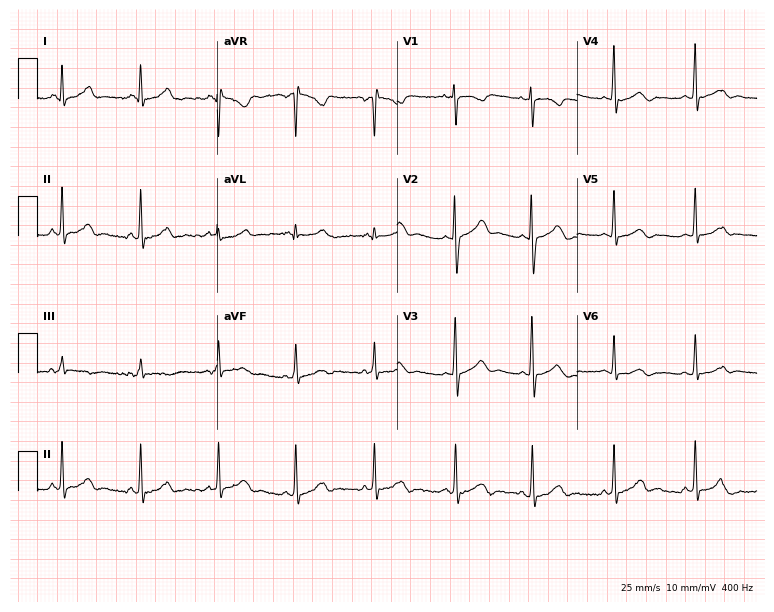
Resting 12-lead electrocardiogram (7.3-second recording at 400 Hz). Patient: a woman, 20 years old. None of these six findings is recorded: first-degree AV block, right bundle branch block, left bundle branch block, sinus bradycardia, atrial fibrillation, sinus tachycardia.